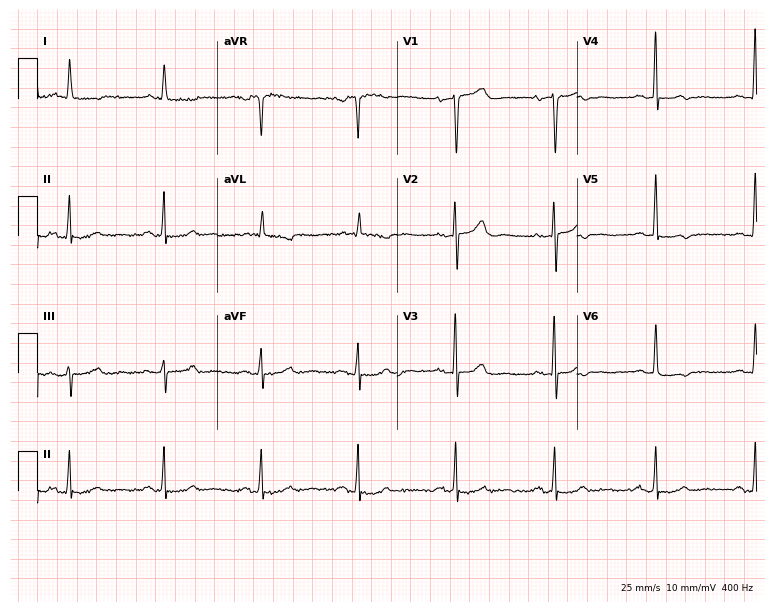
ECG (7.3-second recording at 400 Hz) — a female, 73 years old. Labelled as a normal ECG.